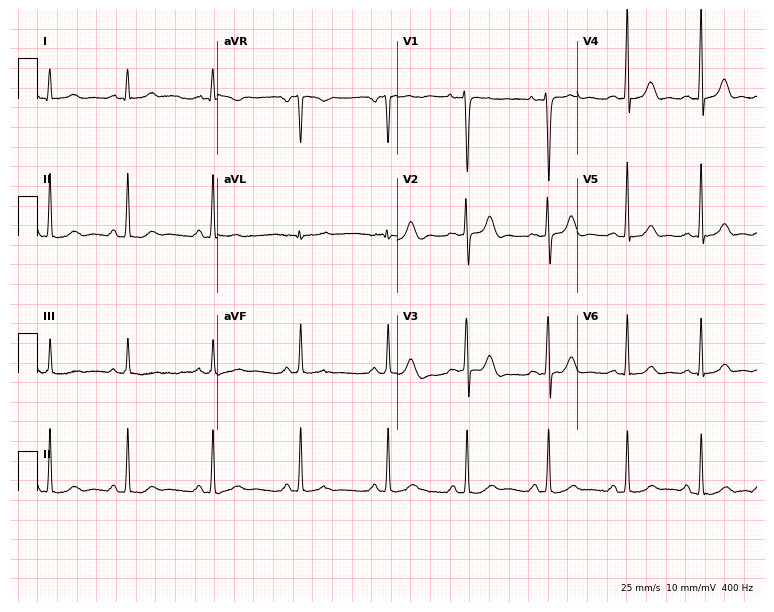
Resting 12-lead electrocardiogram. Patient: an 18-year-old female. None of these six findings is recorded: first-degree AV block, right bundle branch block (RBBB), left bundle branch block (LBBB), sinus bradycardia, atrial fibrillation (AF), sinus tachycardia. Other findings, if any, are not listed.